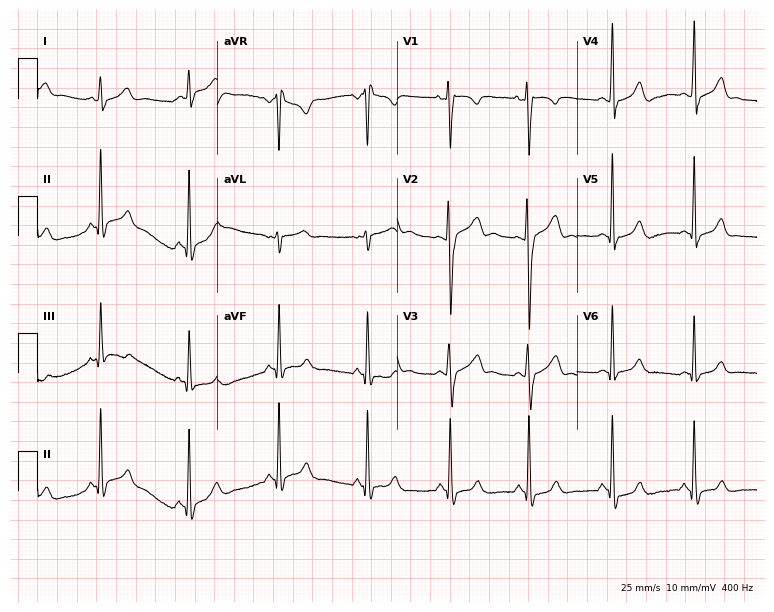
Resting 12-lead electrocardiogram (7.3-second recording at 400 Hz). Patient: a 22-year-old male. None of these six findings is recorded: first-degree AV block, right bundle branch block, left bundle branch block, sinus bradycardia, atrial fibrillation, sinus tachycardia.